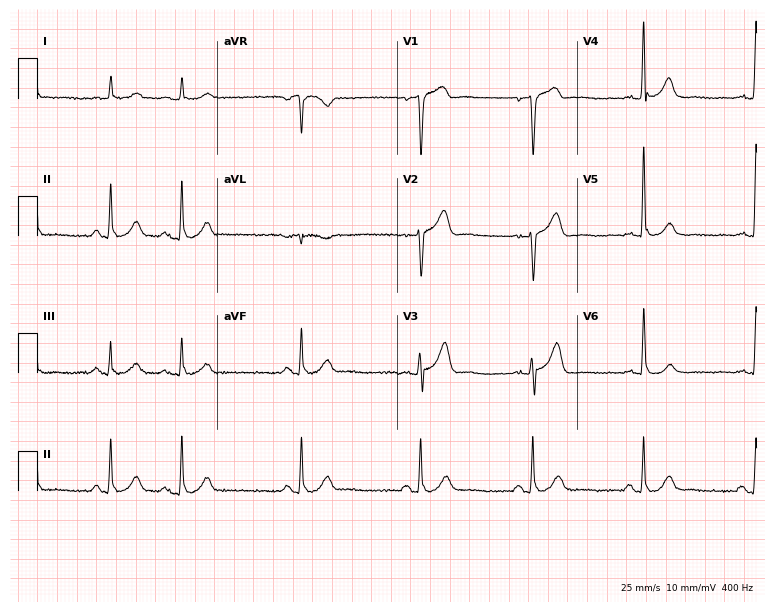
ECG (7.3-second recording at 400 Hz) — a male patient, 72 years old. Screened for six findings — first-degree AV block, right bundle branch block (RBBB), left bundle branch block (LBBB), sinus bradycardia, atrial fibrillation (AF), sinus tachycardia — none is recorded.